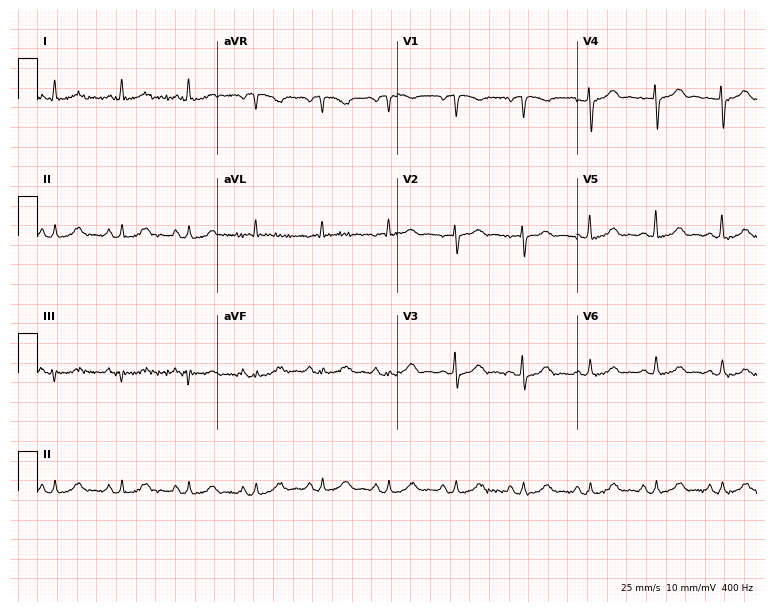
Resting 12-lead electrocardiogram. Patient: a female, 58 years old. Read as a normal ECG.